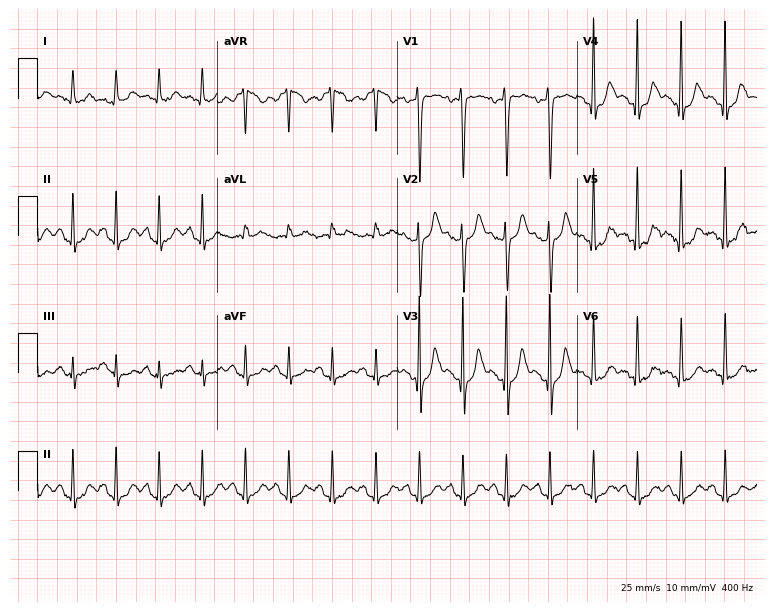
Electrocardiogram, a female patient, 43 years old. Interpretation includes sinus tachycardia (a sinus rate of 100 beats per minute or more).